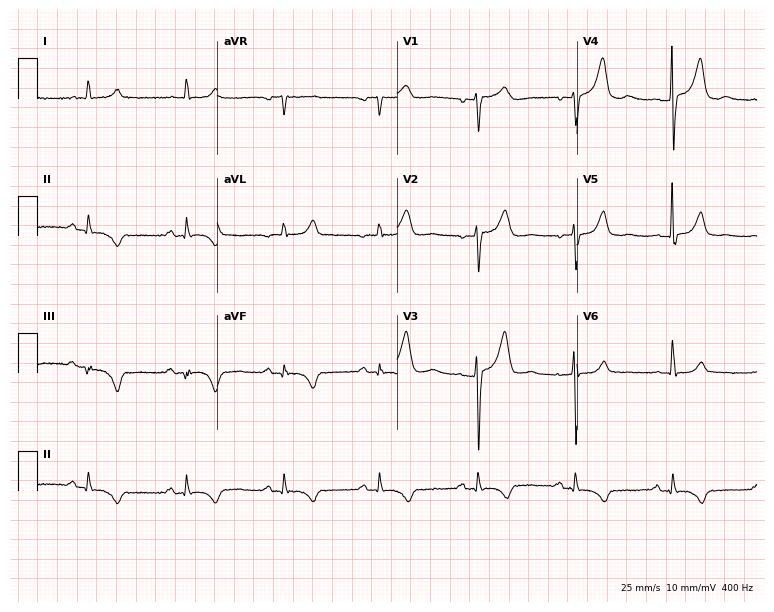
Standard 12-lead ECG recorded from a female, 64 years old (7.3-second recording at 400 Hz). None of these six findings is recorded: first-degree AV block, right bundle branch block, left bundle branch block, sinus bradycardia, atrial fibrillation, sinus tachycardia. Only these six findings were labelled.